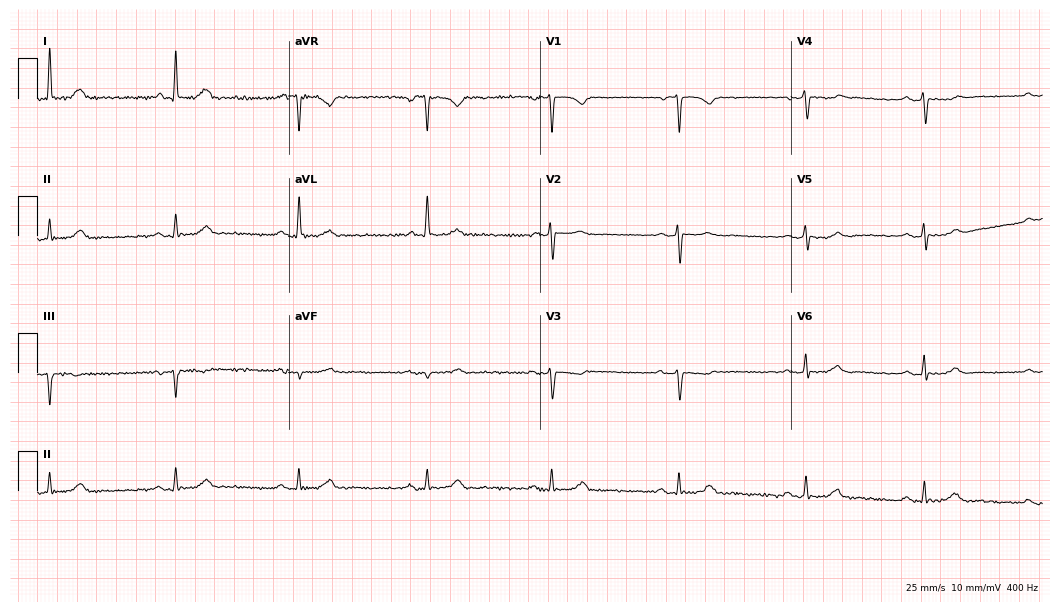
Electrocardiogram (10.2-second recording at 400 Hz), a female patient, 64 years old. Interpretation includes sinus bradycardia (a sinus rate of 50 beats per minute or less).